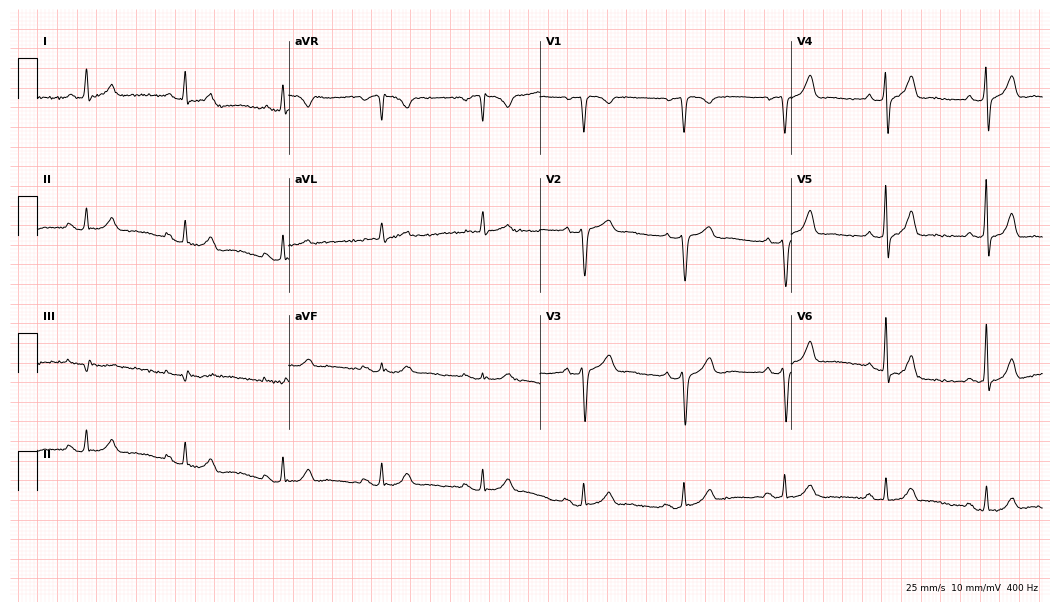
Standard 12-lead ECG recorded from a male patient, 78 years old. None of these six findings is recorded: first-degree AV block, right bundle branch block (RBBB), left bundle branch block (LBBB), sinus bradycardia, atrial fibrillation (AF), sinus tachycardia.